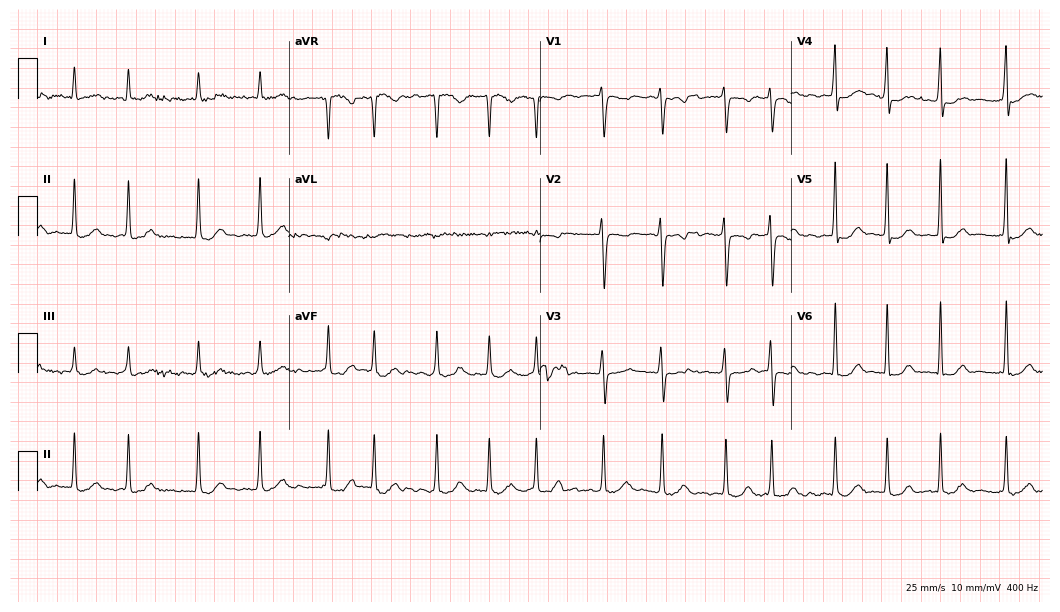
Resting 12-lead electrocardiogram (10.2-second recording at 400 Hz). Patient: a woman, 30 years old. Read as a normal ECG.